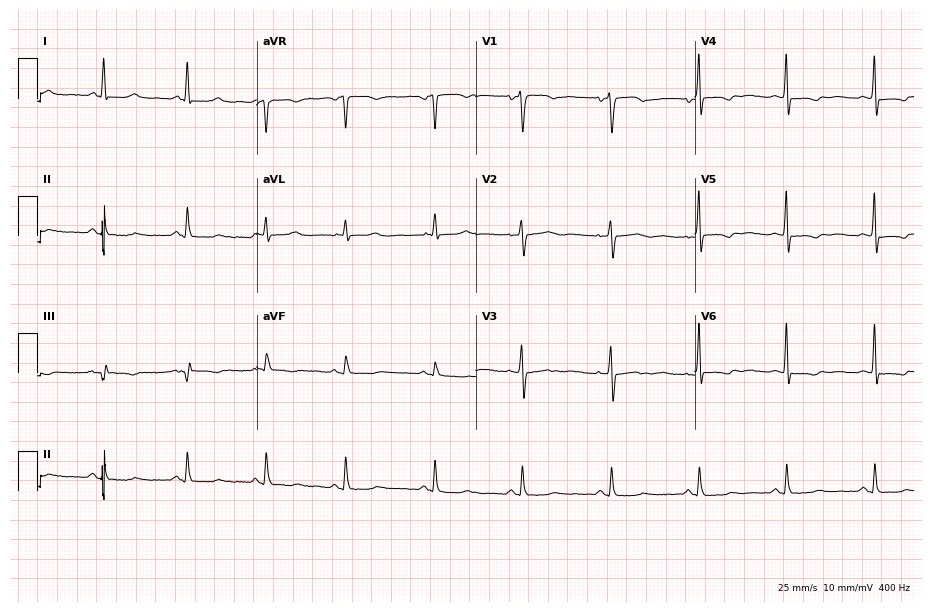
12-lead ECG (8.9-second recording at 400 Hz) from a woman, 53 years old. Screened for six findings — first-degree AV block, right bundle branch block (RBBB), left bundle branch block (LBBB), sinus bradycardia, atrial fibrillation (AF), sinus tachycardia — none is recorded. Findings outside these six are not listed.